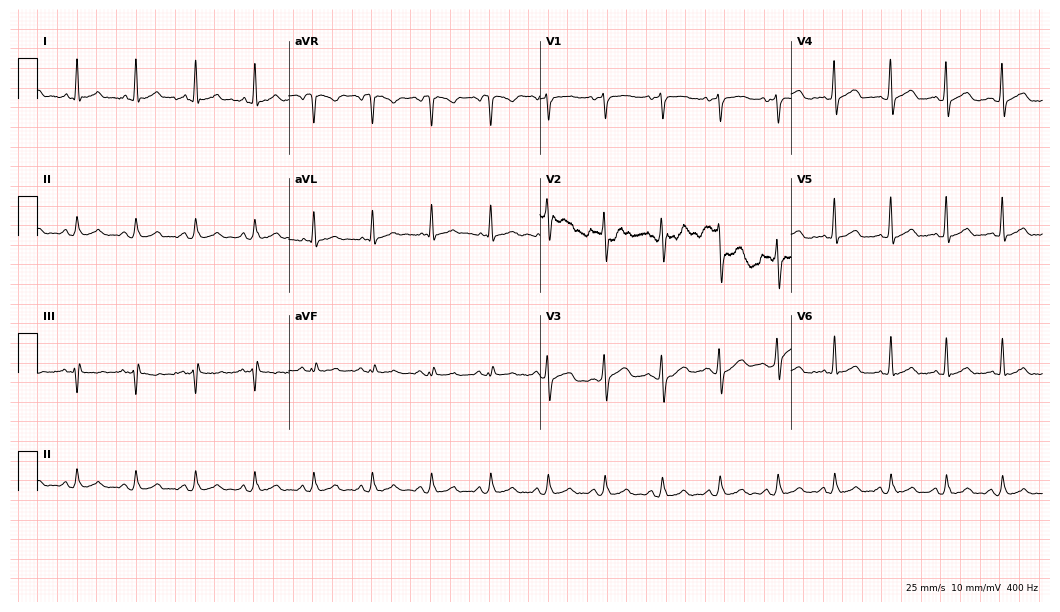
ECG — a 45-year-old male patient. Screened for six findings — first-degree AV block, right bundle branch block, left bundle branch block, sinus bradycardia, atrial fibrillation, sinus tachycardia — none is recorded. Other findings, if any, are not listed.